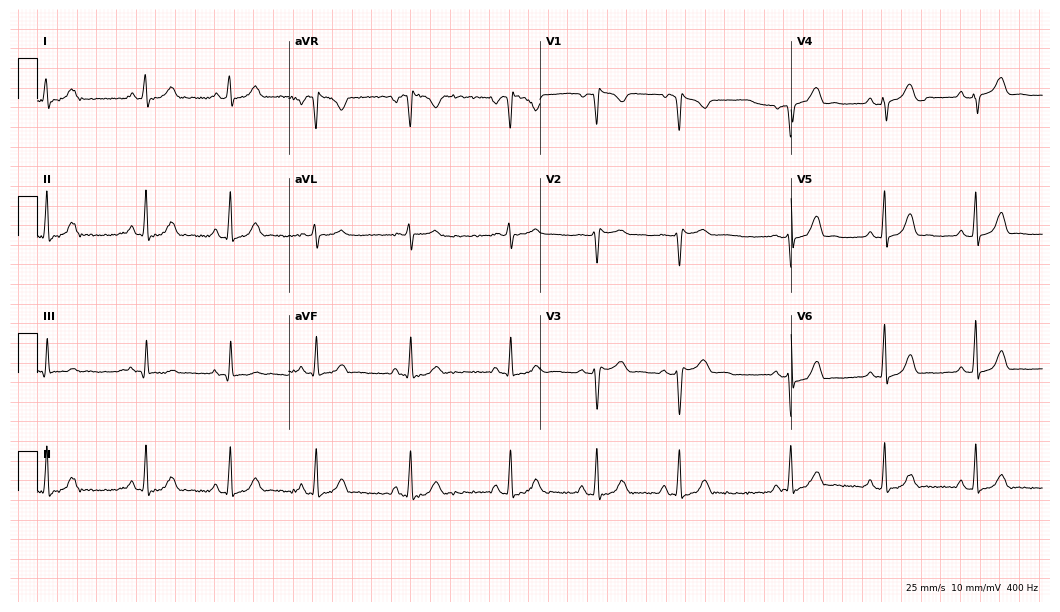
ECG (10.2-second recording at 400 Hz) — a woman, 26 years old. Screened for six findings — first-degree AV block, right bundle branch block, left bundle branch block, sinus bradycardia, atrial fibrillation, sinus tachycardia — none is recorded.